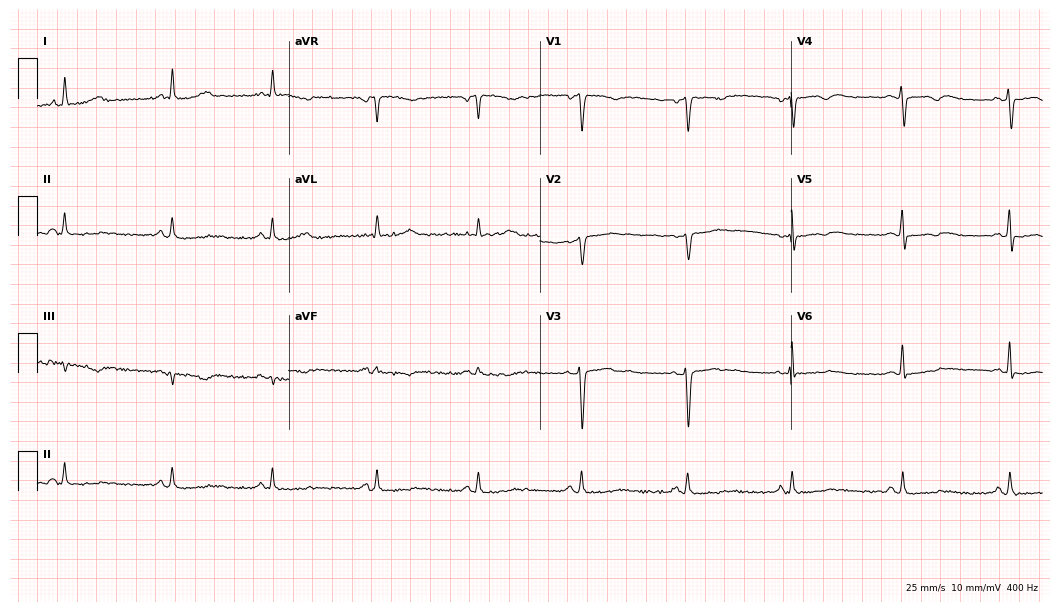
Resting 12-lead electrocardiogram. Patient: a 47-year-old female. None of these six findings is recorded: first-degree AV block, right bundle branch block, left bundle branch block, sinus bradycardia, atrial fibrillation, sinus tachycardia.